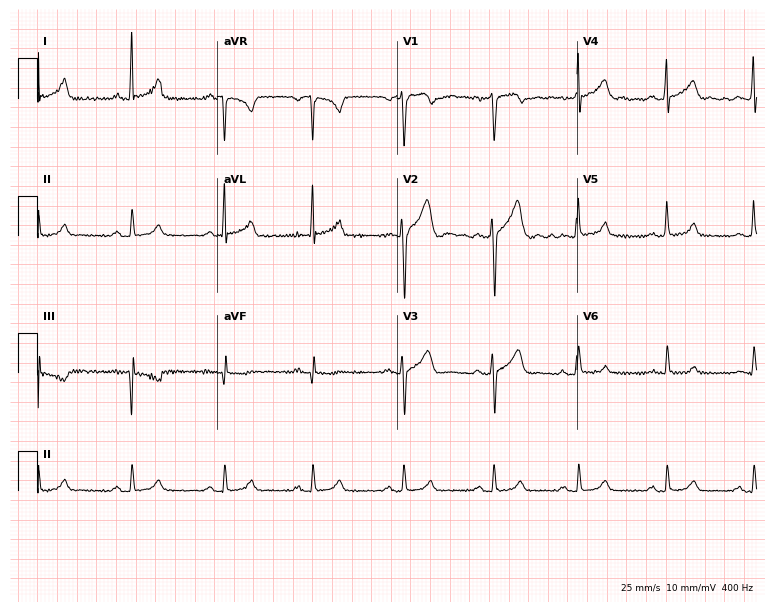
12-lead ECG from a man, 37 years old. No first-degree AV block, right bundle branch block, left bundle branch block, sinus bradycardia, atrial fibrillation or sinus tachycardia recorded for this tracing.